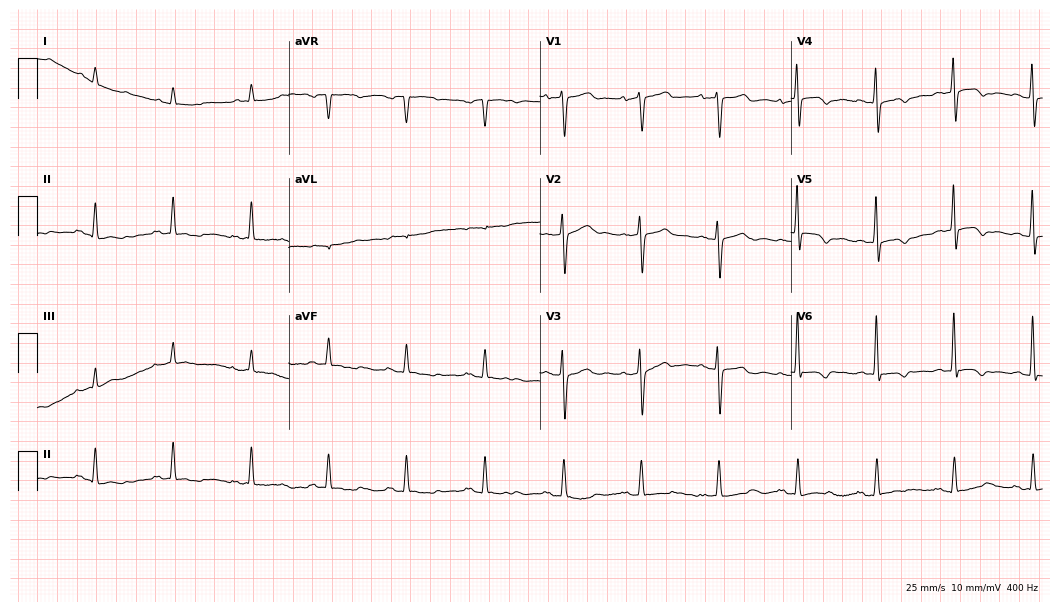
12-lead ECG from a 73-year-old female patient. No first-degree AV block, right bundle branch block, left bundle branch block, sinus bradycardia, atrial fibrillation or sinus tachycardia recorded for this tracing. Only these six findings were labelled.